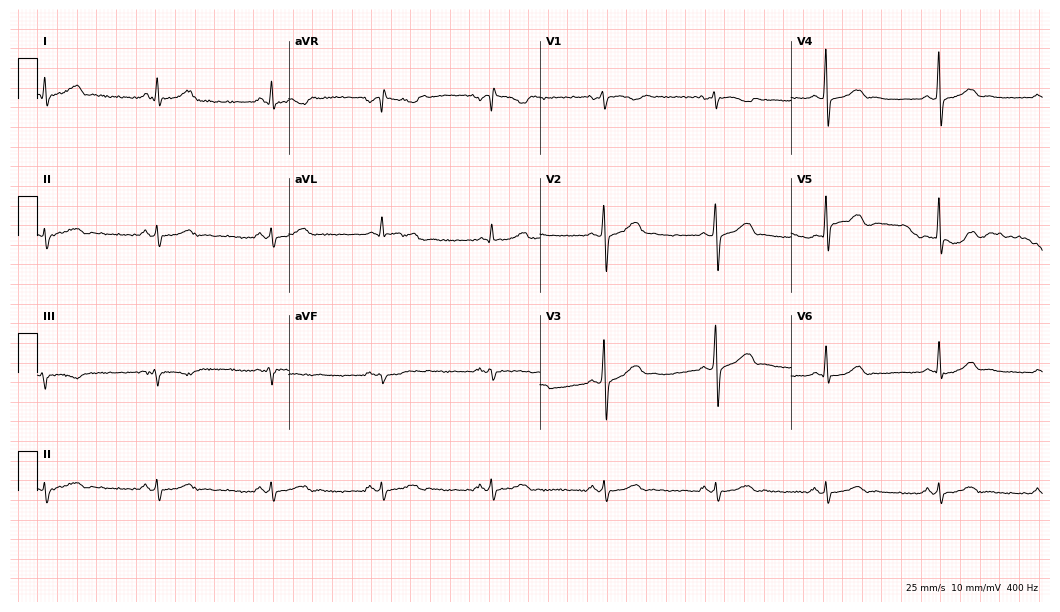
12-lead ECG from a 46-year-old male. Labelled as a normal ECG.